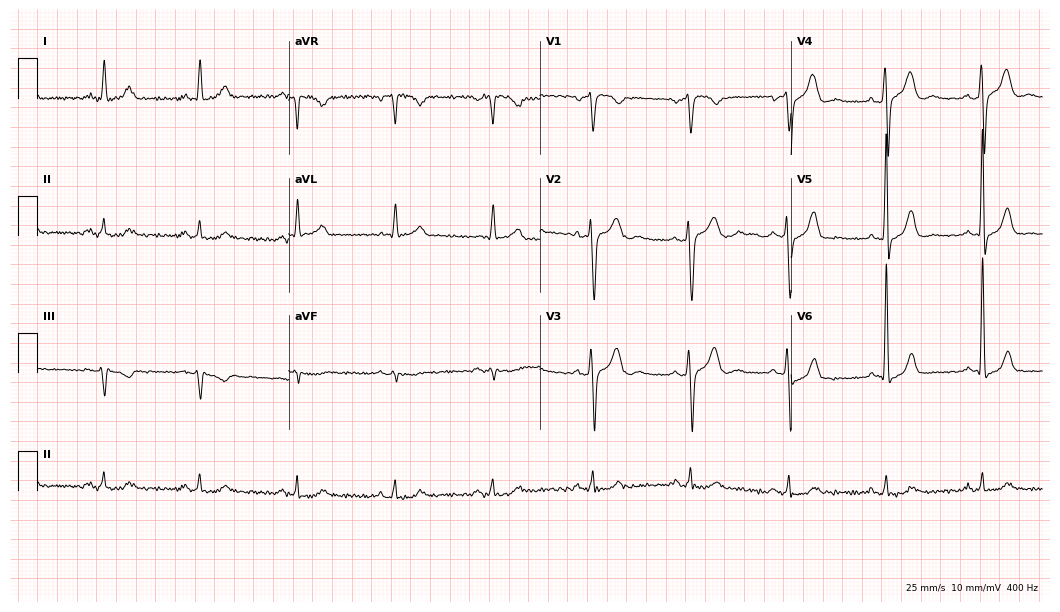
Standard 12-lead ECG recorded from a male, 64 years old (10.2-second recording at 400 Hz). None of these six findings is recorded: first-degree AV block, right bundle branch block, left bundle branch block, sinus bradycardia, atrial fibrillation, sinus tachycardia.